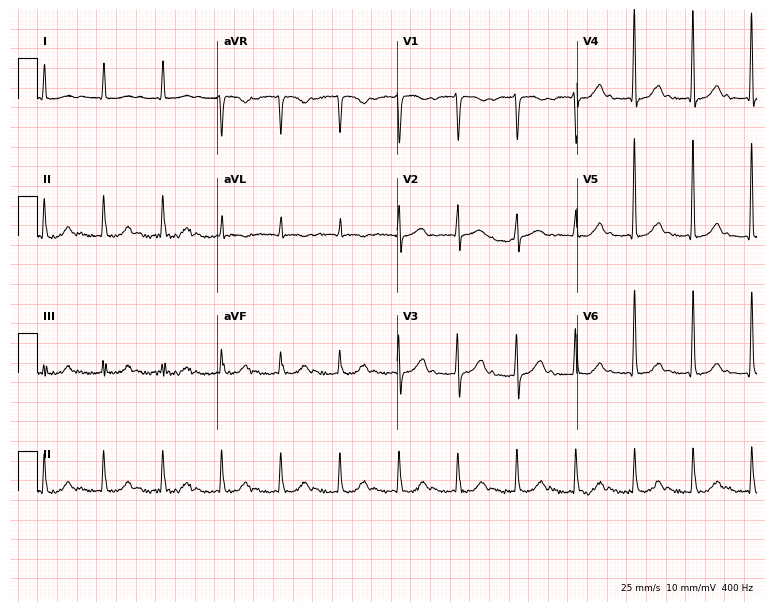
Resting 12-lead electrocardiogram (7.3-second recording at 400 Hz). Patient: a 79-year-old female. The tracing shows first-degree AV block, sinus tachycardia (a sinus rate of 100 beats per minute or more).